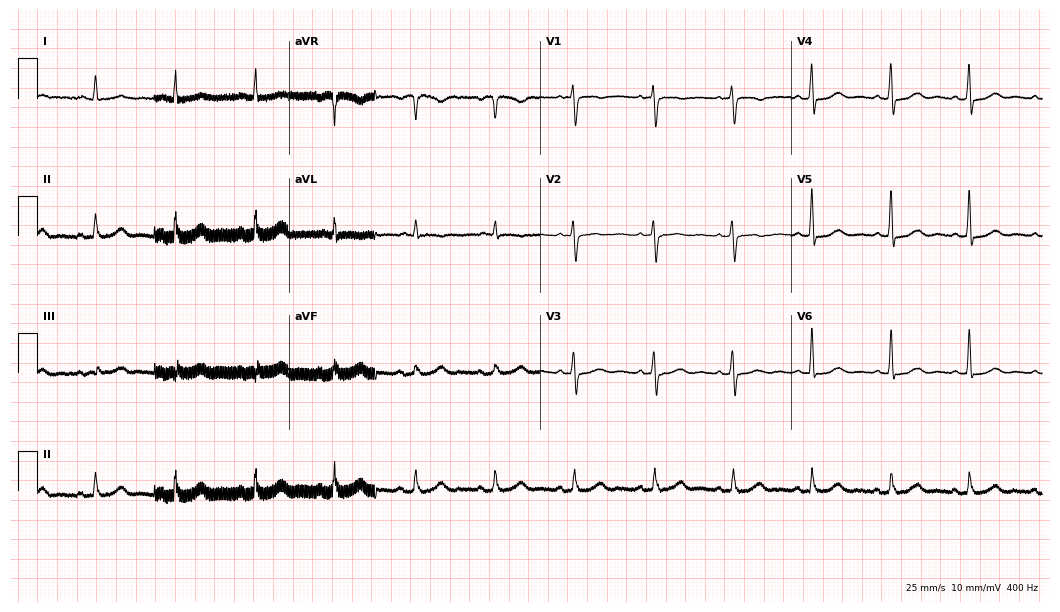
Resting 12-lead electrocardiogram. Patient: a woman, 84 years old. Read as a normal ECG.